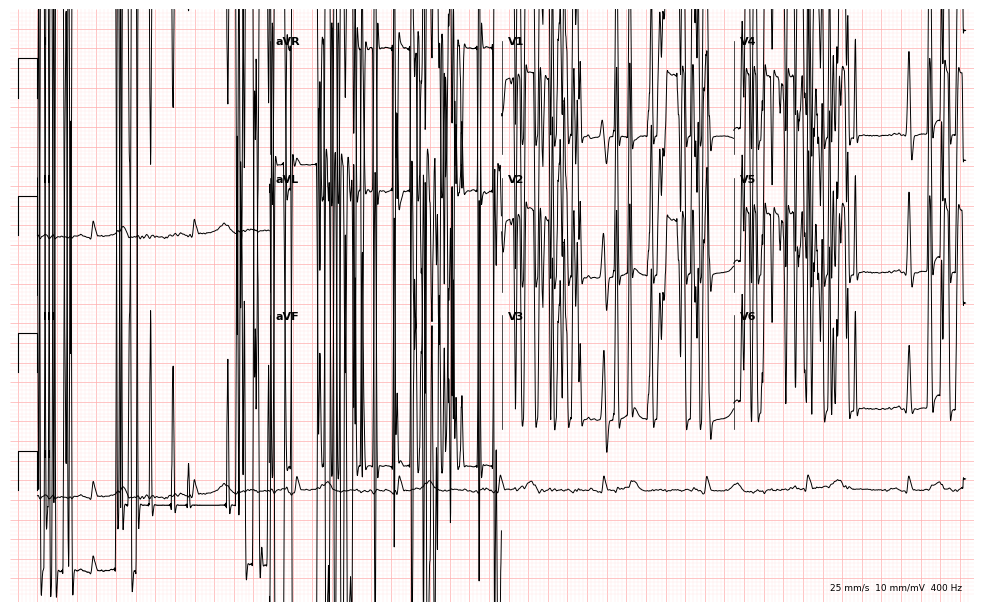
Electrocardiogram (9.5-second recording at 400 Hz), a male patient, 54 years old. Of the six screened findings (first-degree AV block, right bundle branch block, left bundle branch block, sinus bradycardia, atrial fibrillation, sinus tachycardia), none is recorded. Findings outside these six are not listed.